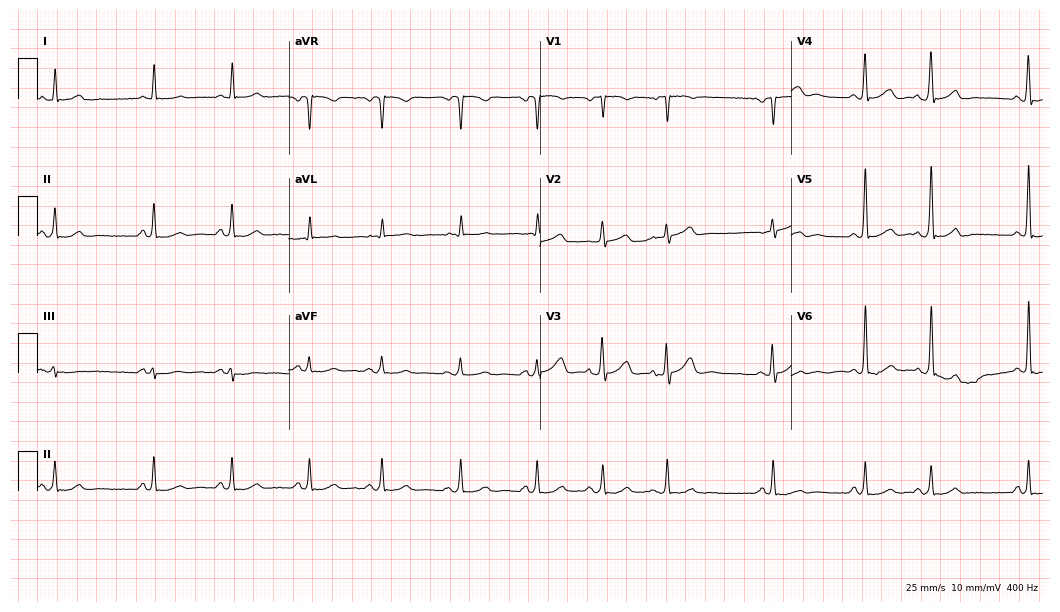
Electrocardiogram (10.2-second recording at 400 Hz), an 85-year-old man. Overall reading on record: normal ECG.